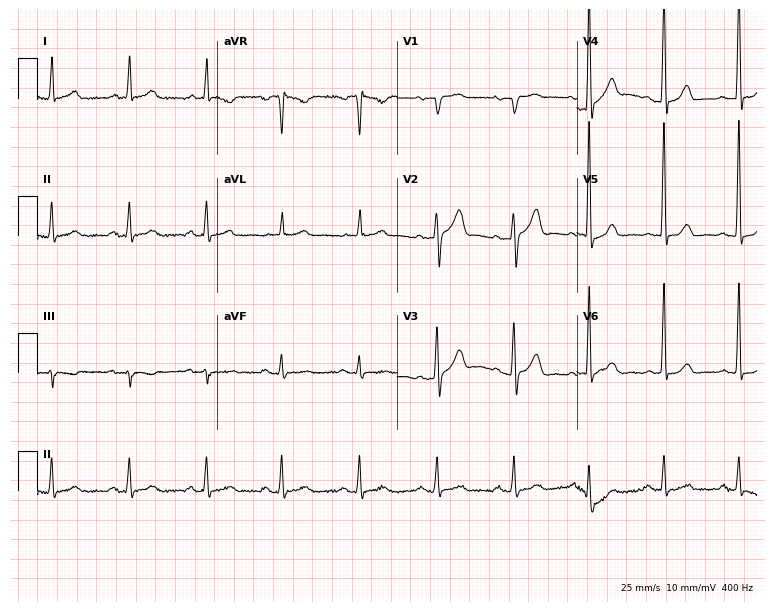
Resting 12-lead electrocardiogram (7.3-second recording at 400 Hz). Patient: a male, 79 years old. None of these six findings is recorded: first-degree AV block, right bundle branch block, left bundle branch block, sinus bradycardia, atrial fibrillation, sinus tachycardia. Only these six findings were labelled.